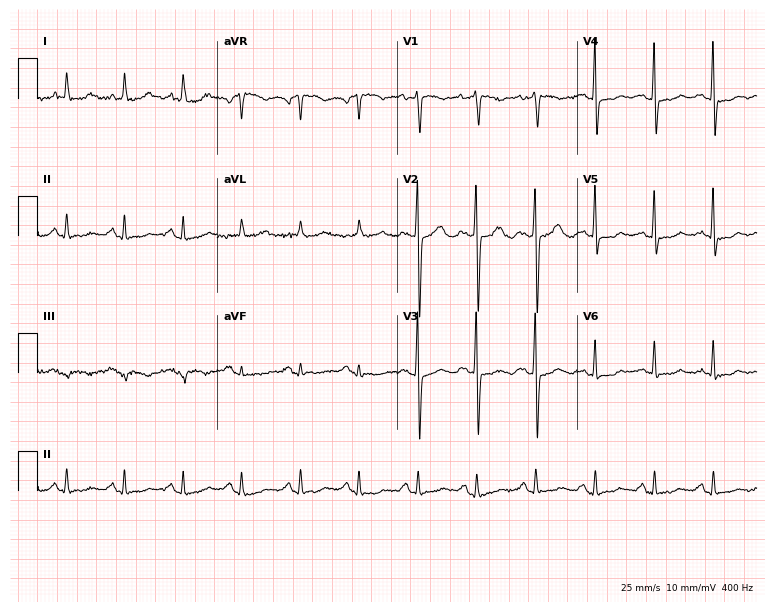
Standard 12-lead ECG recorded from a 71-year-old woman. None of these six findings is recorded: first-degree AV block, right bundle branch block (RBBB), left bundle branch block (LBBB), sinus bradycardia, atrial fibrillation (AF), sinus tachycardia.